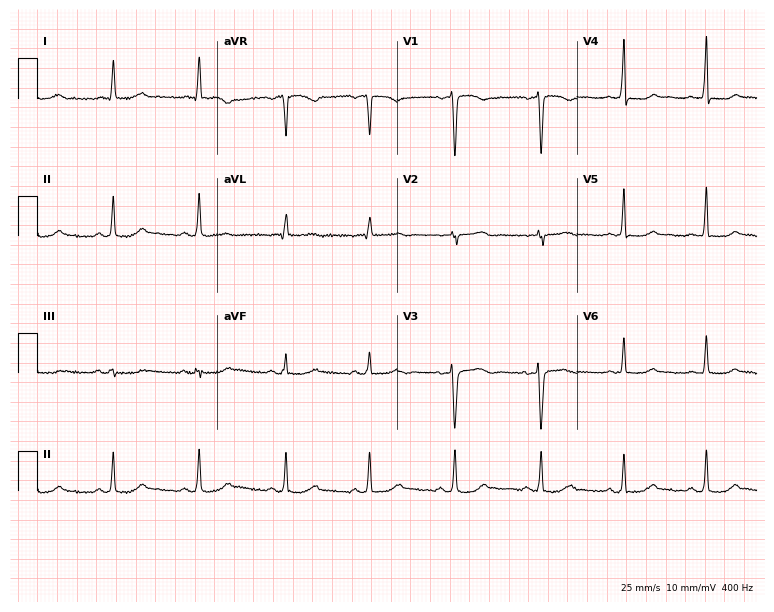
Standard 12-lead ECG recorded from a 59-year-old female patient. None of these six findings is recorded: first-degree AV block, right bundle branch block (RBBB), left bundle branch block (LBBB), sinus bradycardia, atrial fibrillation (AF), sinus tachycardia. Only these six findings were labelled.